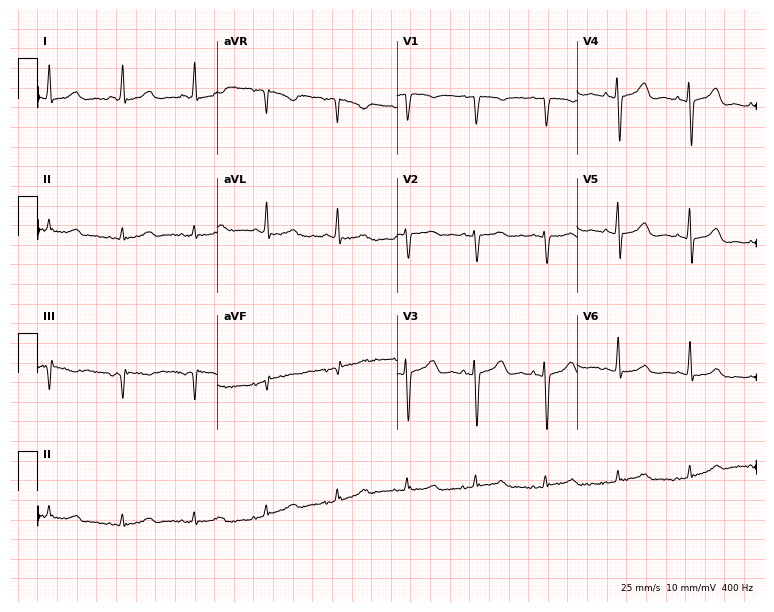
Electrocardiogram (7.3-second recording at 400 Hz), a female, 80 years old. Of the six screened findings (first-degree AV block, right bundle branch block, left bundle branch block, sinus bradycardia, atrial fibrillation, sinus tachycardia), none is recorded. Only these six findings were labelled.